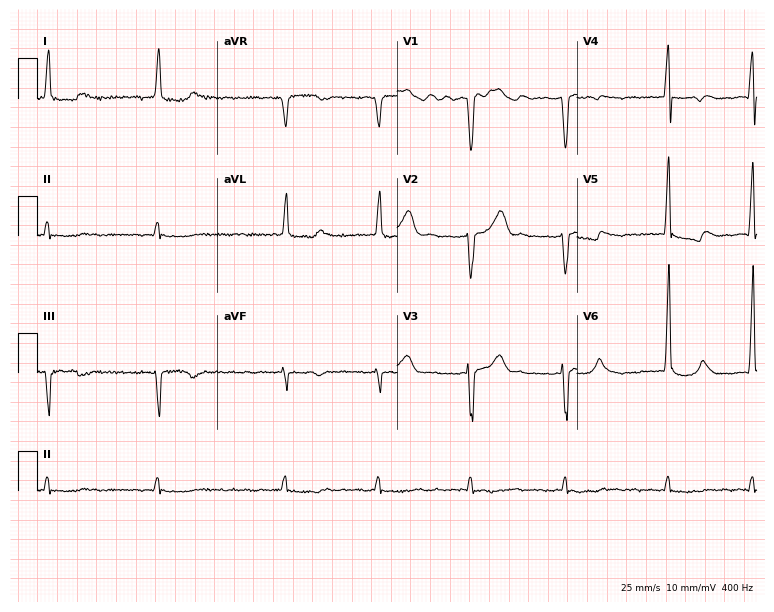
12-lead ECG from a man, 57 years old (7.3-second recording at 400 Hz). Shows atrial fibrillation (AF).